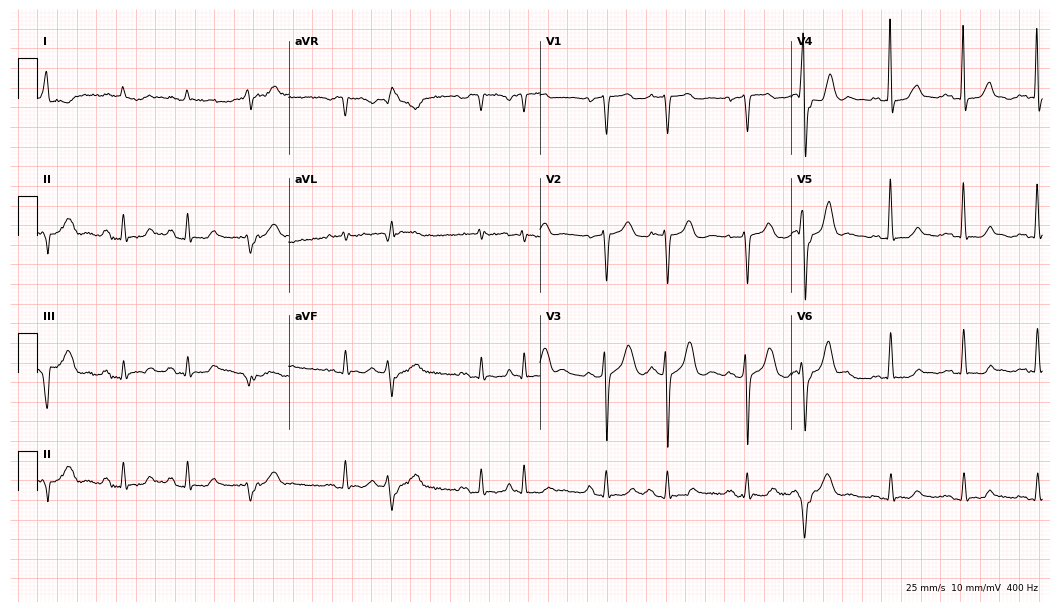
Standard 12-lead ECG recorded from a female patient, 79 years old (10.2-second recording at 400 Hz). None of these six findings is recorded: first-degree AV block, right bundle branch block (RBBB), left bundle branch block (LBBB), sinus bradycardia, atrial fibrillation (AF), sinus tachycardia. Other findings, if any, are not listed.